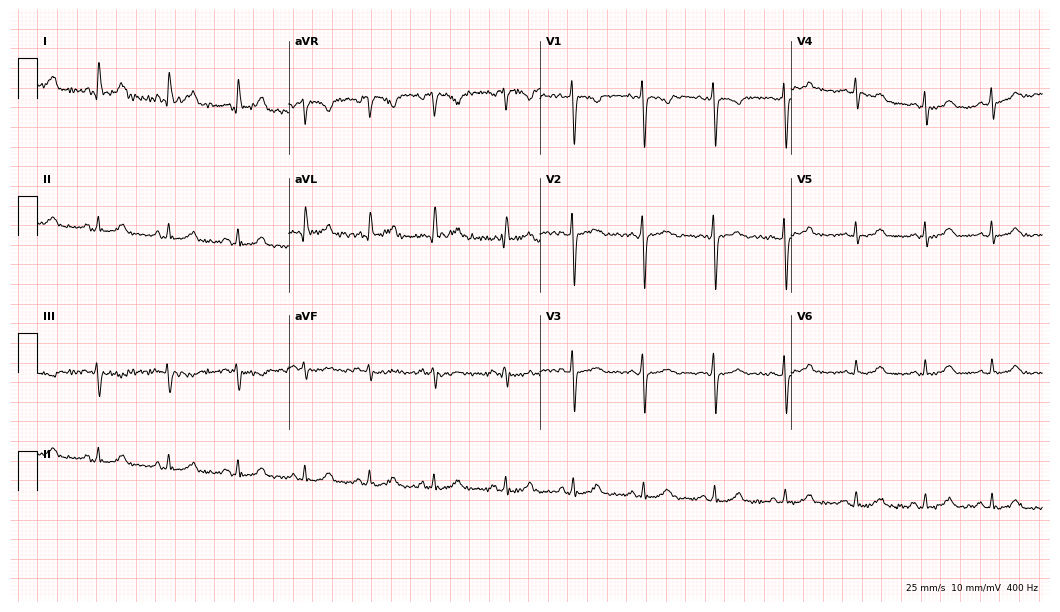
Standard 12-lead ECG recorded from a 47-year-old female (10.2-second recording at 400 Hz). Read as a normal ECG.